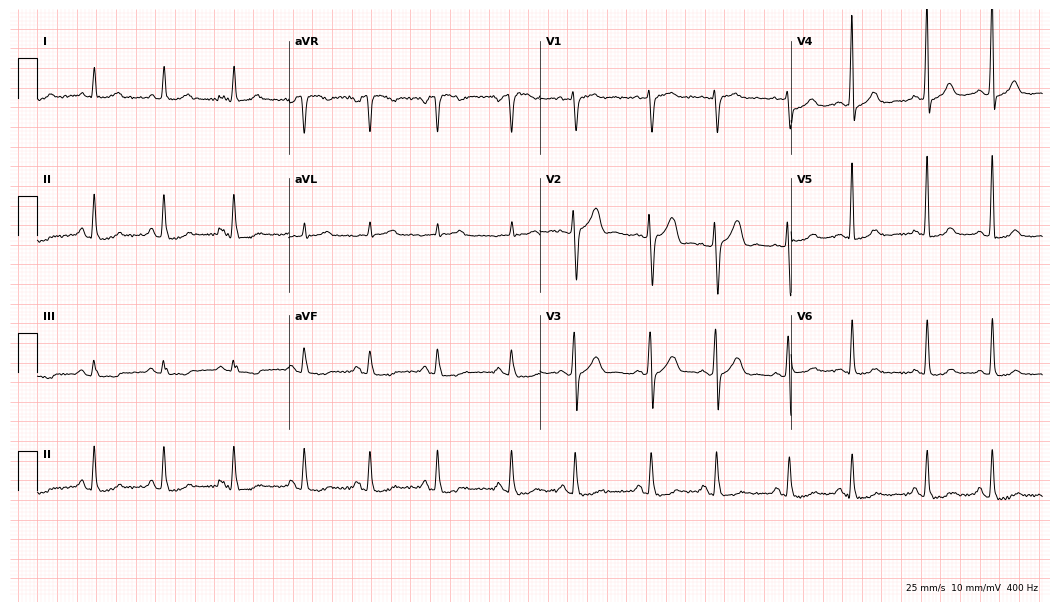
12-lead ECG (10.2-second recording at 400 Hz) from a female, 63 years old. Screened for six findings — first-degree AV block, right bundle branch block, left bundle branch block, sinus bradycardia, atrial fibrillation, sinus tachycardia — none is recorded. Other findings, if any, are not listed.